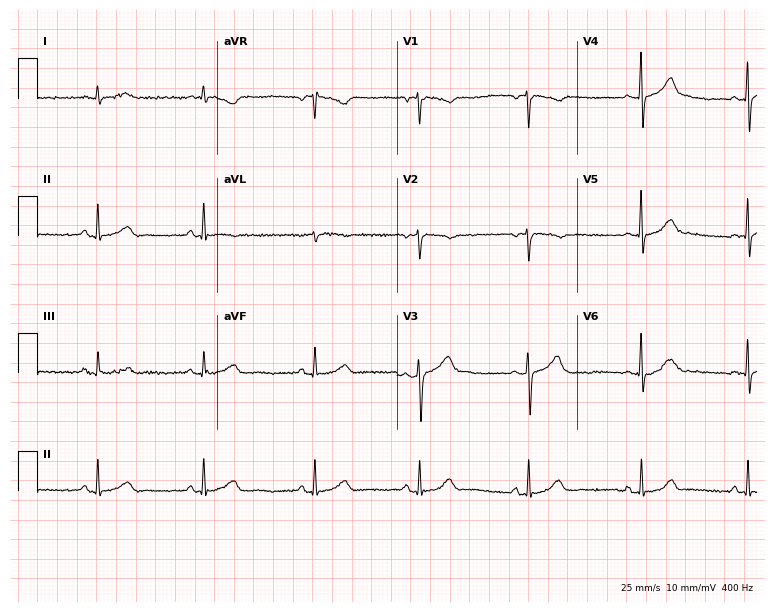
Resting 12-lead electrocardiogram. Patient: a 33-year-old male. Read as a normal ECG.